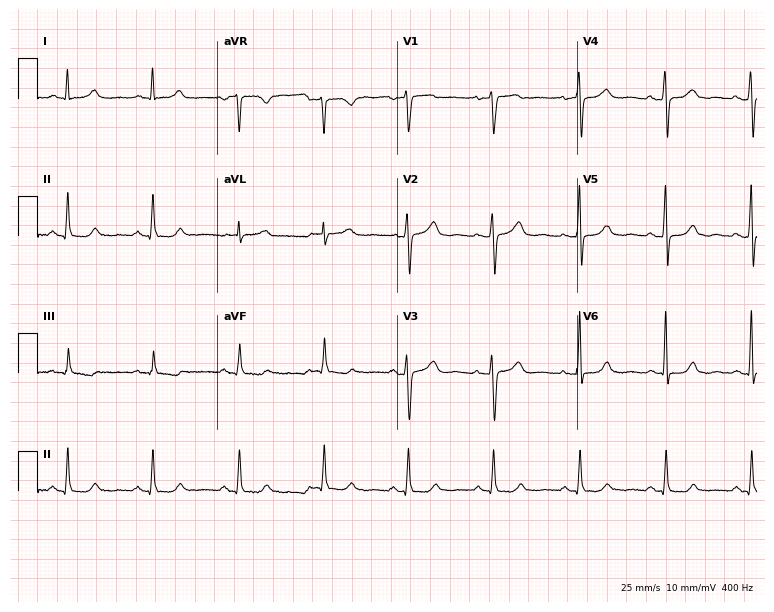
Standard 12-lead ECG recorded from a 53-year-old female (7.3-second recording at 400 Hz). Read as a normal ECG.